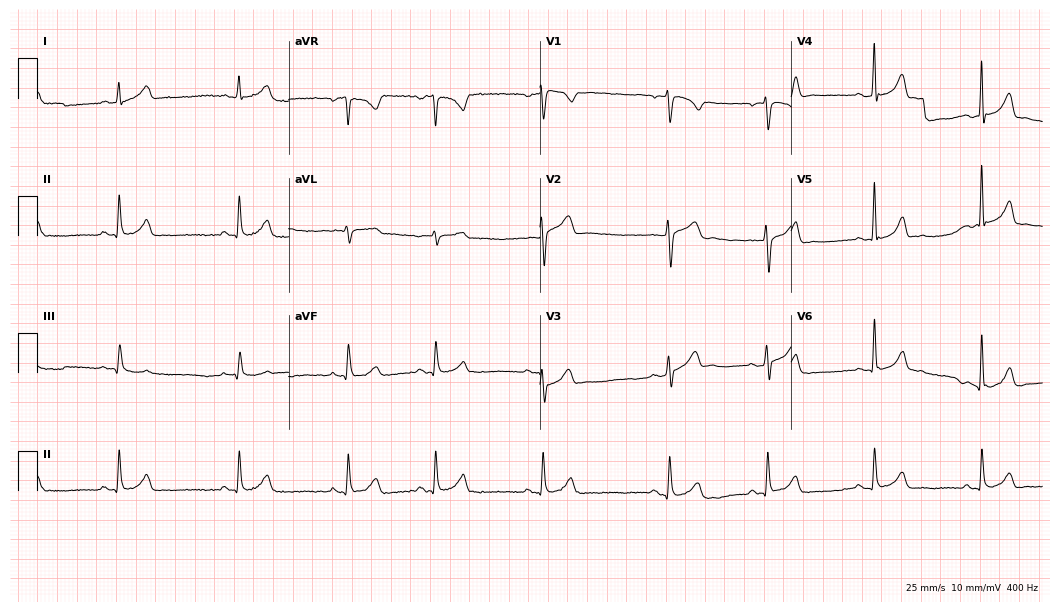
12-lead ECG from a man, 34 years old. Labelled as a normal ECG.